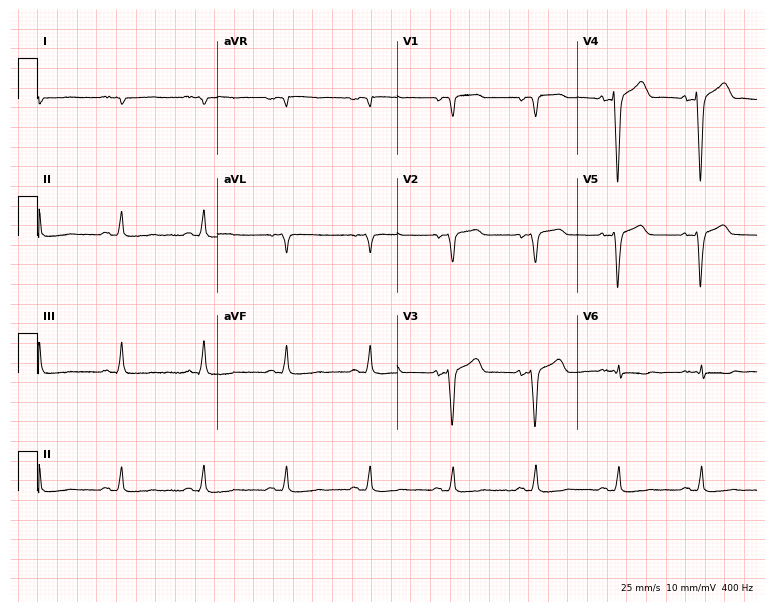
Standard 12-lead ECG recorded from a male, 67 years old (7.3-second recording at 400 Hz). None of these six findings is recorded: first-degree AV block, right bundle branch block, left bundle branch block, sinus bradycardia, atrial fibrillation, sinus tachycardia.